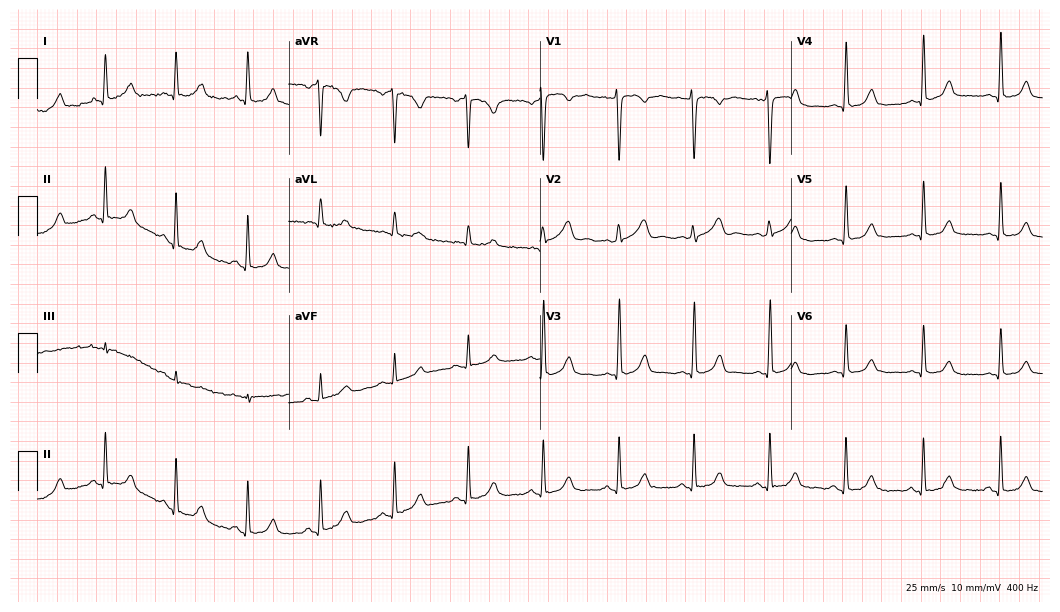
Resting 12-lead electrocardiogram (10.2-second recording at 400 Hz). Patient: a female, 38 years old. Read as a normal ECG.